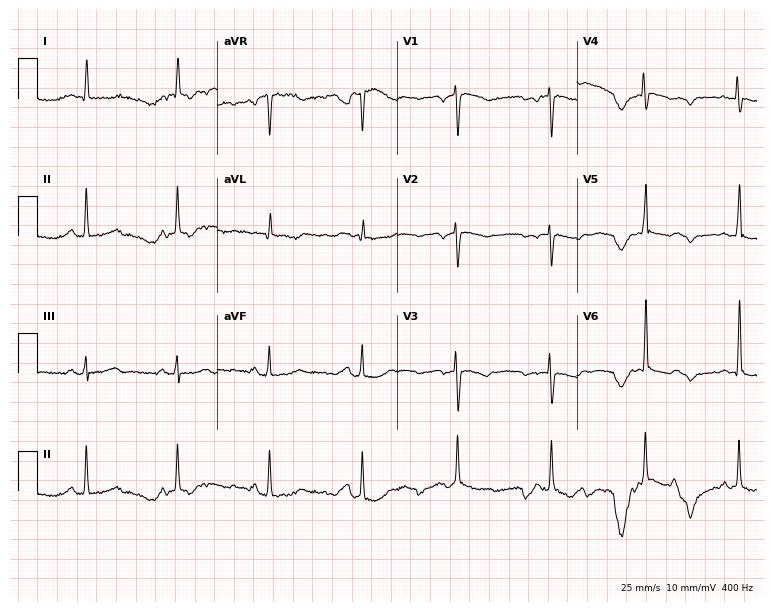
Standard 12-lead ECG recorded from a 51-year-old female (7.3-second recording at 400 Hz). None of these six findings is recorded: first-degree AV block, right bundle branch block, left bundle branch block, sinus bradycardia, atrial fibrillation, sinus tachycardia. Other findings, if any, are not listed.